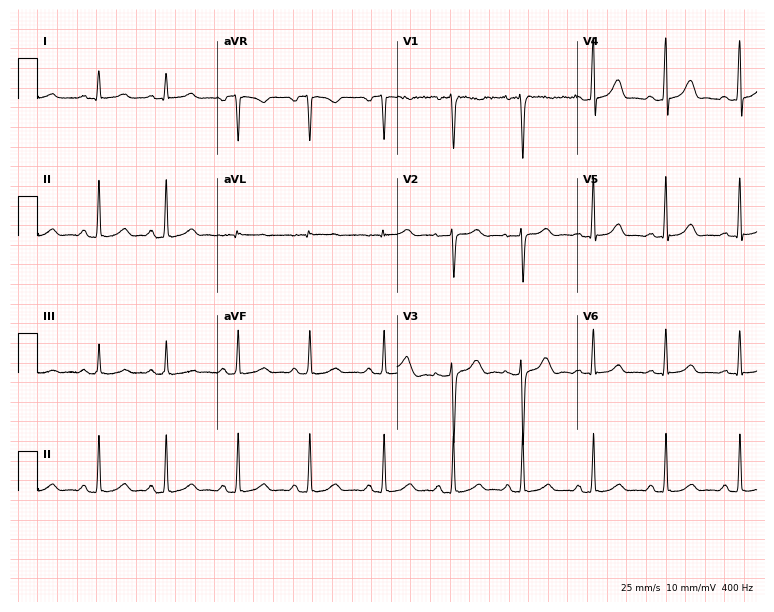
12-lead ECG from a woman, 19 years old (7.3-second recording at 400 Hz). No first-degree AV block, right bundle branch block (RBBB), left bundle branch block (LBBB), sinus bradycardia, atrial fibrillation (AF) or sinus tachycardia recorded for this tracing.